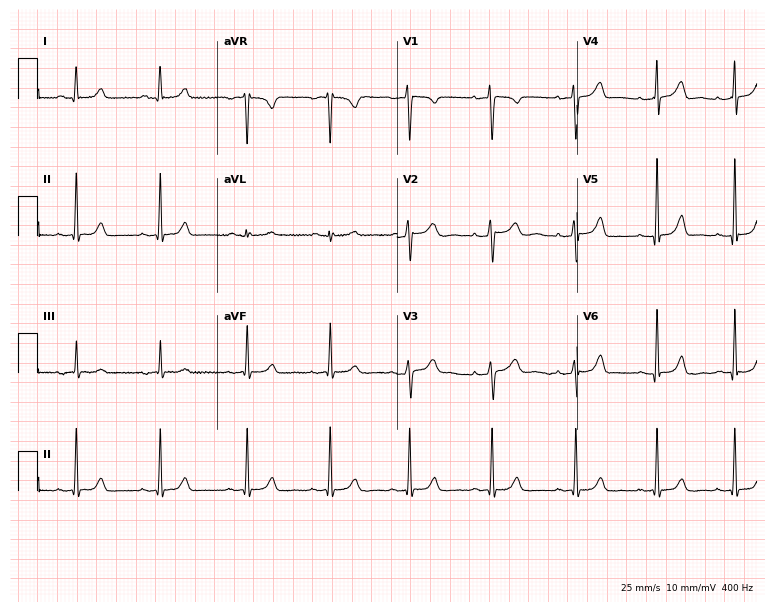
Resting 12-lead electrocardiogram (7.3-second recording at 400 Hz). Patient: a female, 28 years old. Read as a normal ECG.